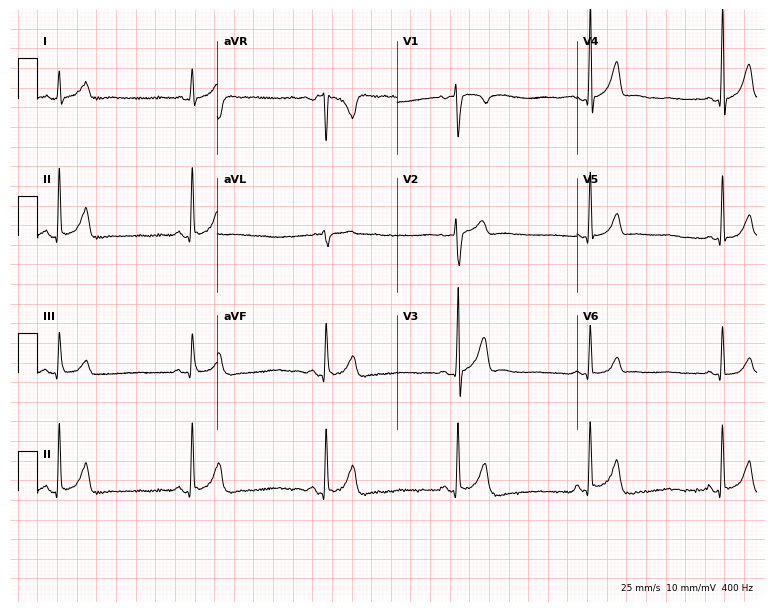
12-lead ECG from a 23-year-old male. Findings include sinus bradycardia (a sinus rate of 50 beats per minute or less).